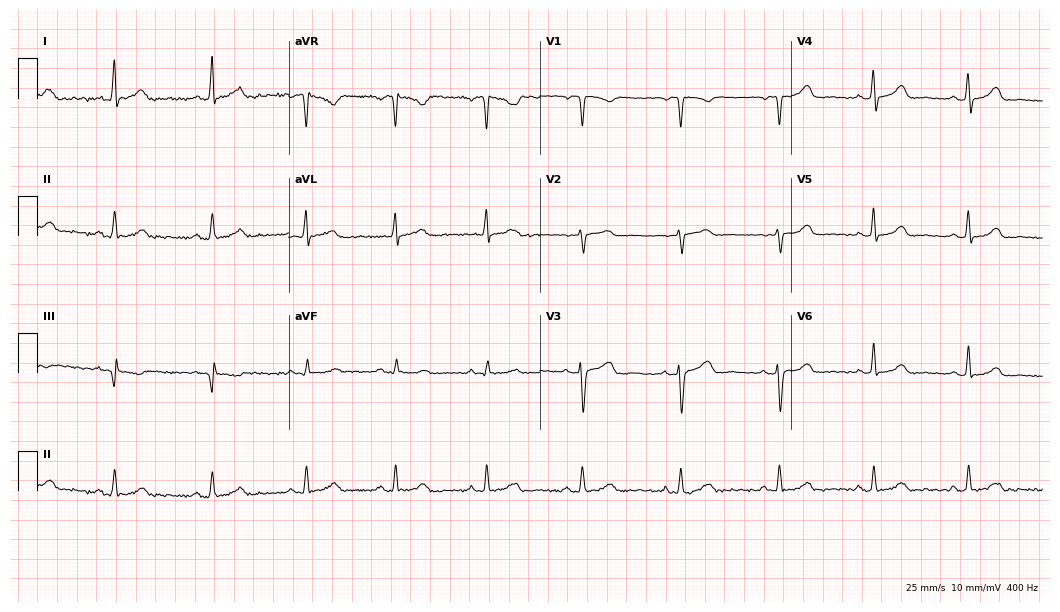
12-lead ECG (10.2-second recording at 400 Hz) from a 48-year-old woman. Screened for six findings — first-degree AV block, right bundle branch block, left bundle branch block, sinus bradycardia, atrial fibrillation, sinus tachycardia — none is recorded.